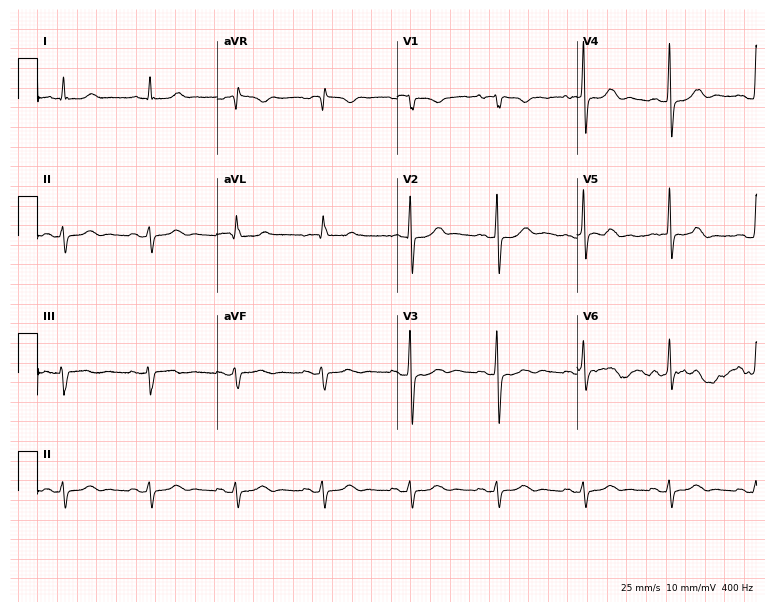
Resting 12-lead electrocardiogram. Patient: a 61-year-old woman. None of these six findings is recorded: first-degree AV block, right bundle branch block, left bundle branch block, sinus bradycardia, atrial fibrillation, sinus tachycardia. Findings outside these six are not listed.